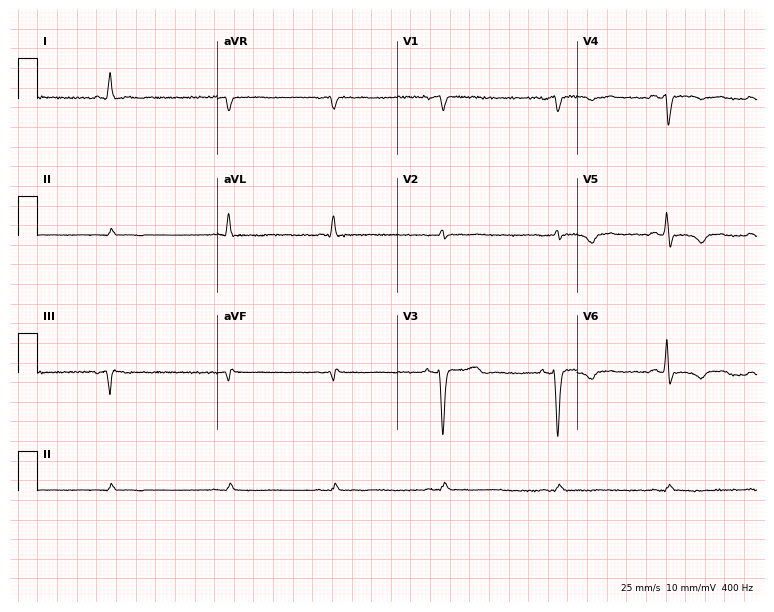
Electrocardiogram (7.3-second recording at 400 Hz), a woman, 49 years old. Of the six screened findings (first-degree AV block, right bundle branch block, left bundle branch block, sinus bradycardia, atrial fibrillation, sinus tachycardia), none is recorded. Only these six findings were labelled.